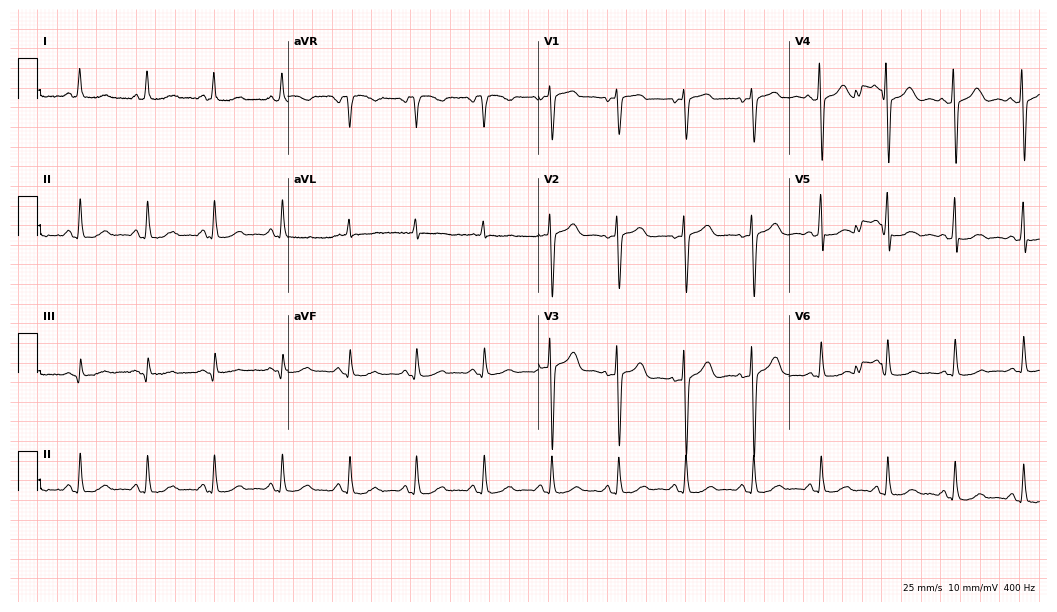
Resting 12-lead electrocardiogram (10.2-second recording at 400 Hz). Patient: a woman, 53 years old. Read as a normal ECG.